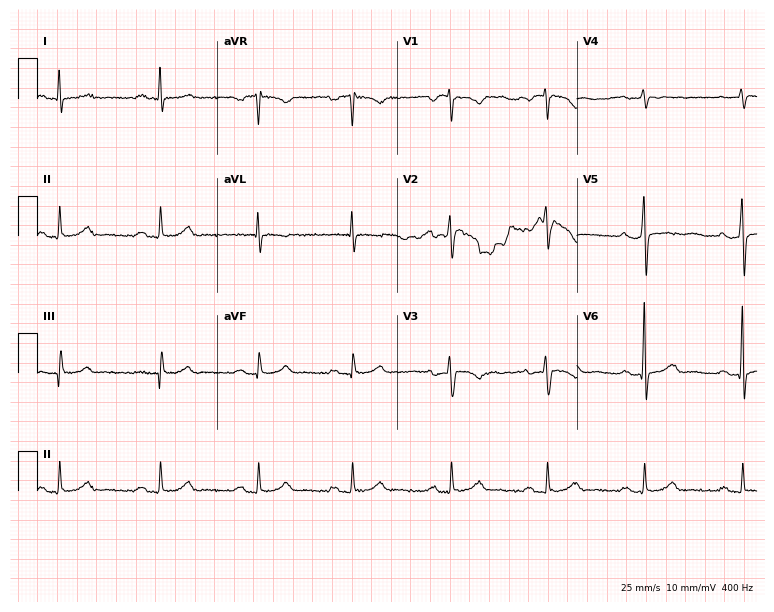
12-lead ECG (7.3-second recording at 400 Hz) from a male patient, 58 years old. Labelled as a normal ECG.